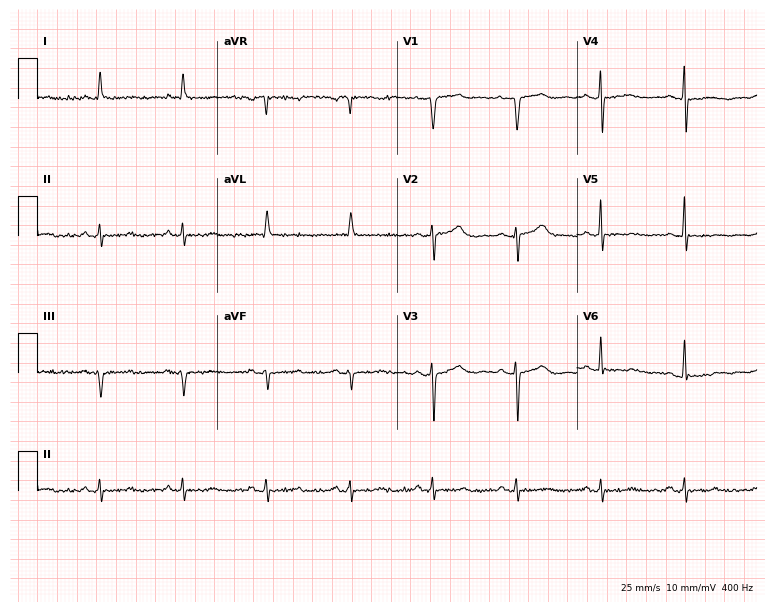
12-lead ECG from an 80-year-old male. No first-degree AV block, right bundle branch block, left bundle branch block, sinus bradycardia, atrial fibrillation or sinus tachycardia recorded for this tracing. Other findings, if any, are not listed.